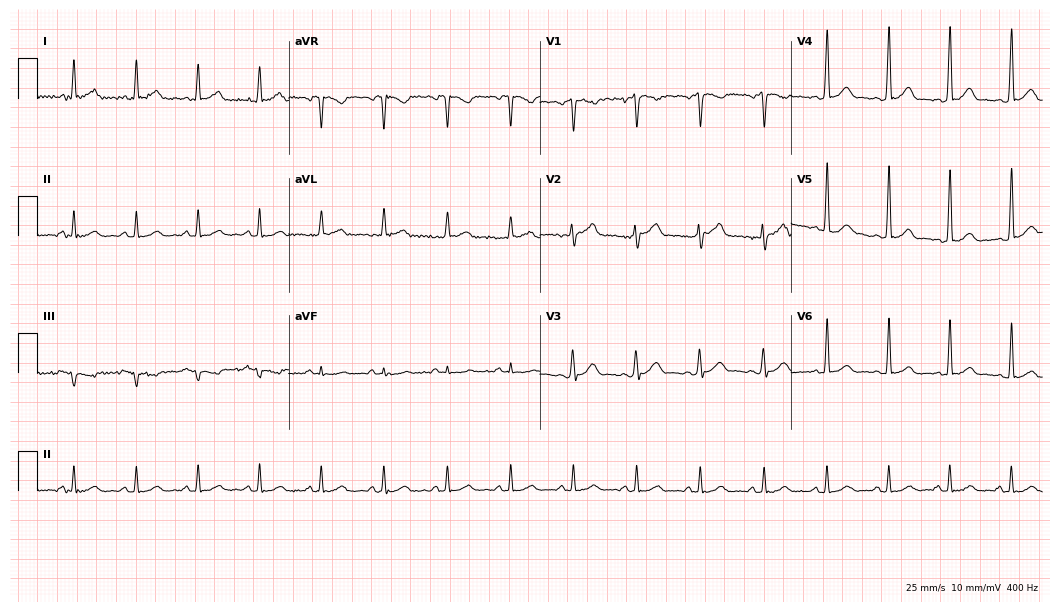
12-lead ECG from a 36-year-old male patient. Labelled as a normal ECG.